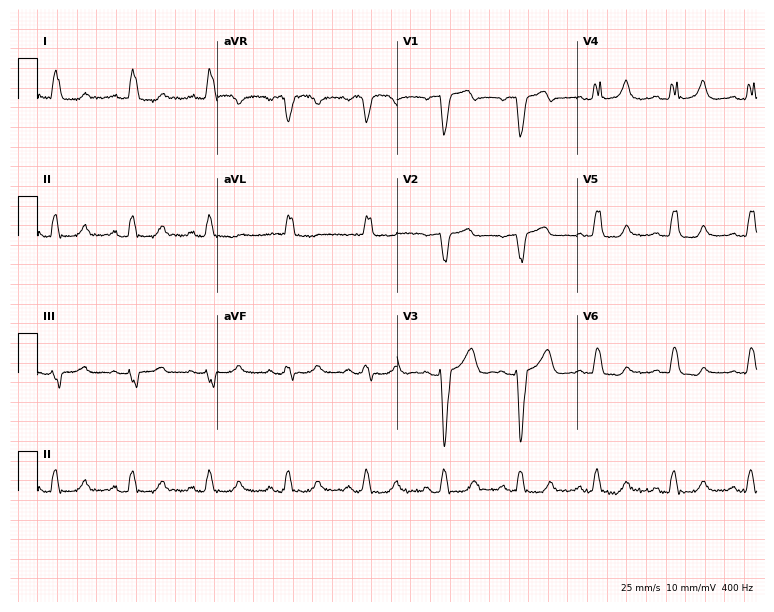
ECG (7.3-second recording at 400 Hz) — a female, 68 years old. Findings include left bundle branch block.